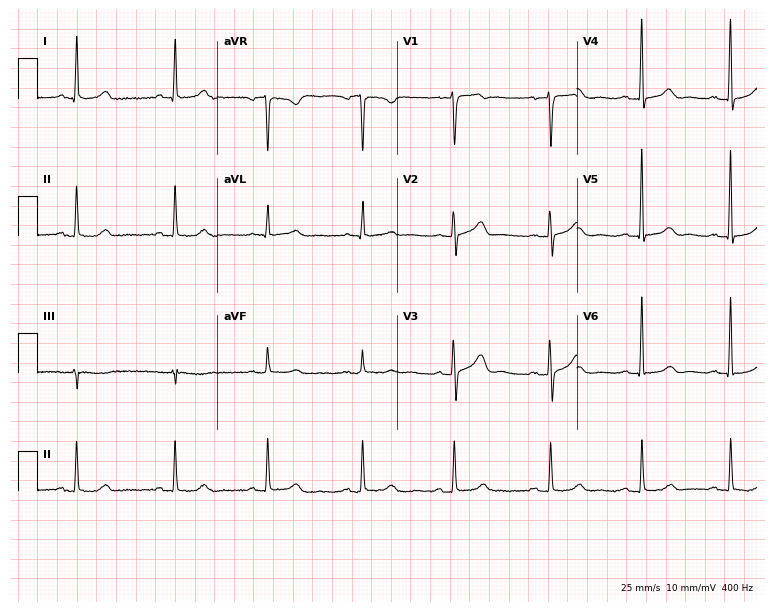
Resting 12-lead electrocardiogram (7.3-second recording at 400 Hz). Patient: a 56-year-old female. Read as a normal ECG.